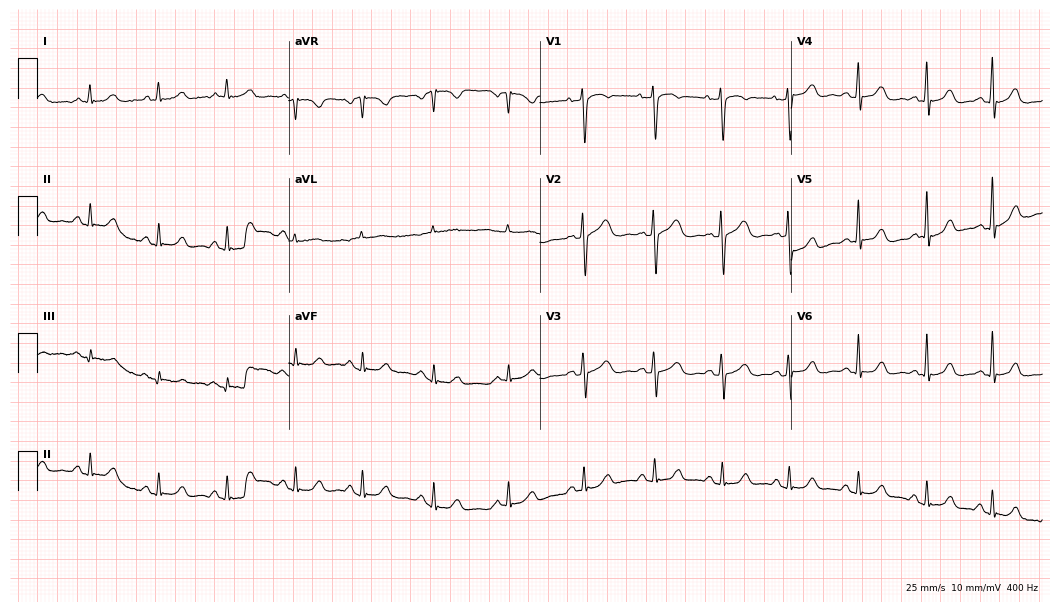
Standard 12-lead ECG recorded from a woman, 61 years old (10.2-second recording at 400 Hz). Read as a normal ECG.